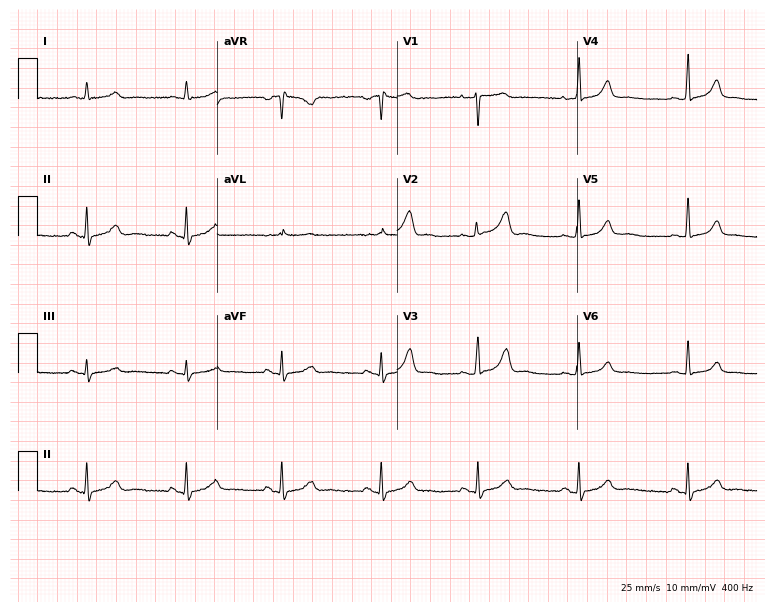
12-lead ECG from a woman, 34 years old (7.3-second recording at 400 Hz). No first-degree AV block, right bundle branch block (RBBB), left bundle branch block (LBBB), sinus bradycardia, atrial fibrillation (AF) or sinus tachycardia recorded for this tracing. Other findings, if any, are not listed.